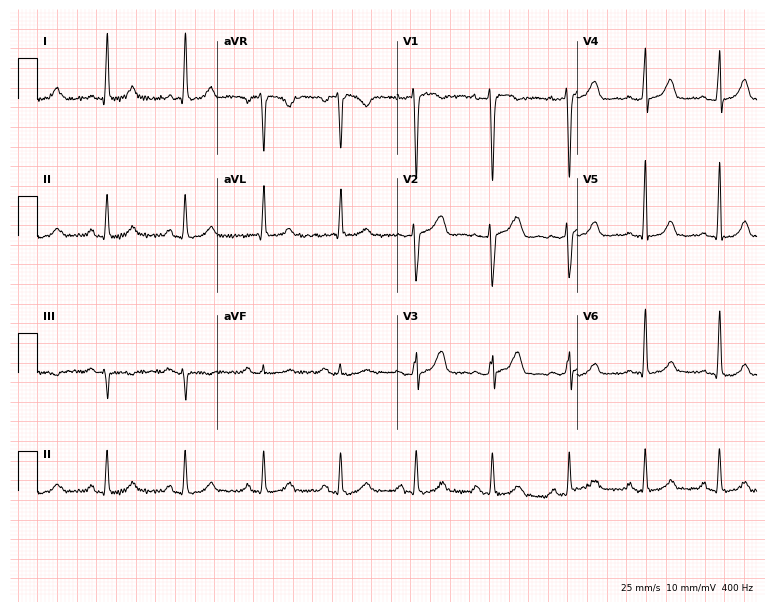
12-lead ECG (7.3-second recording at 400 Hz) from a woman, 40 years old. Screened for six findings — first-degree AV block, right bundle branch block (RBBB), left bundle branch block (LBBB), sinus bradycardia, atrial fibrillation (AF), sinus tachycardia — none is recorded. Findings outside these six are not listed.